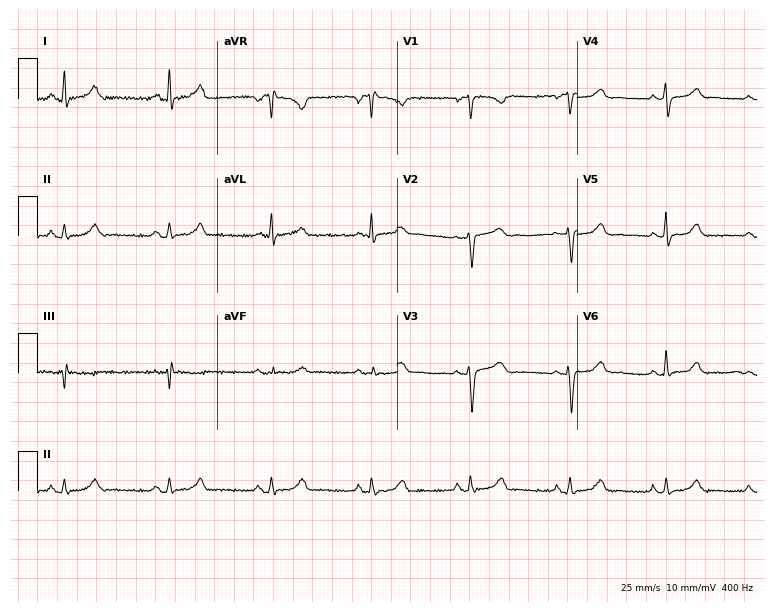
12-lead ECG from a 35-year-old female. Labelled as a normal ECG.